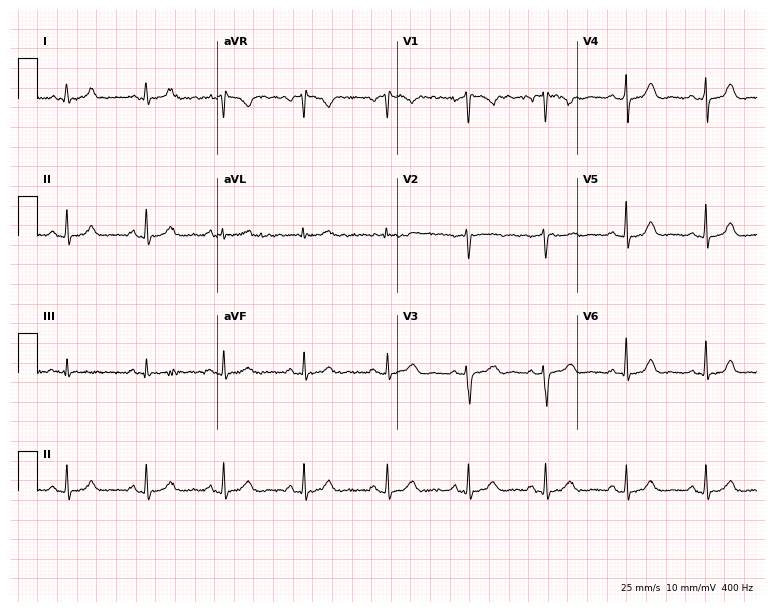
Resting 12-lead electrocardiogram. Patient: a 39-year-old woman. Read as a normal ECG.